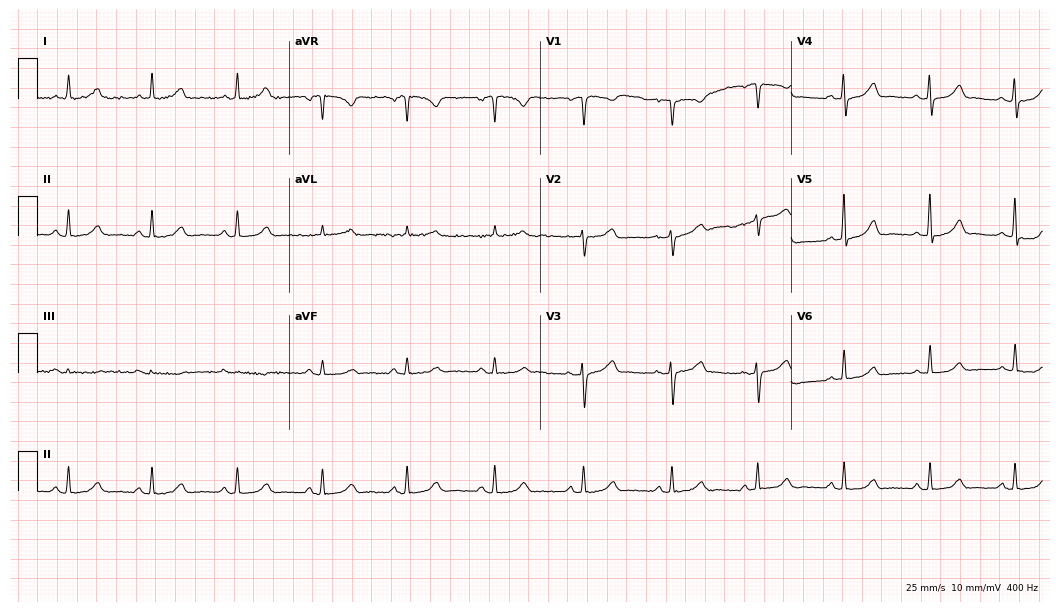
12-lead ECG from a 52-year-old female patient. Recorded interpretation: within normal limits.